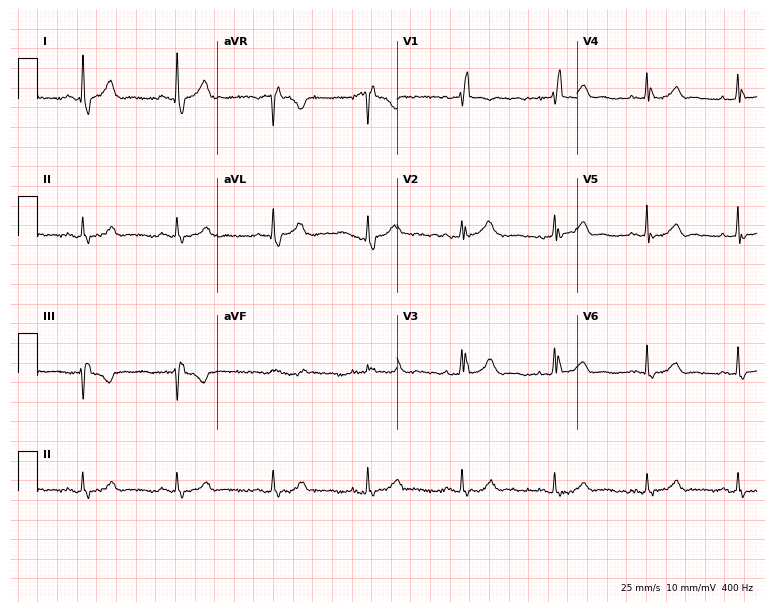
12-lead ECG from a female patient, 73 years old. Shows right bundle branch block (RBBB).